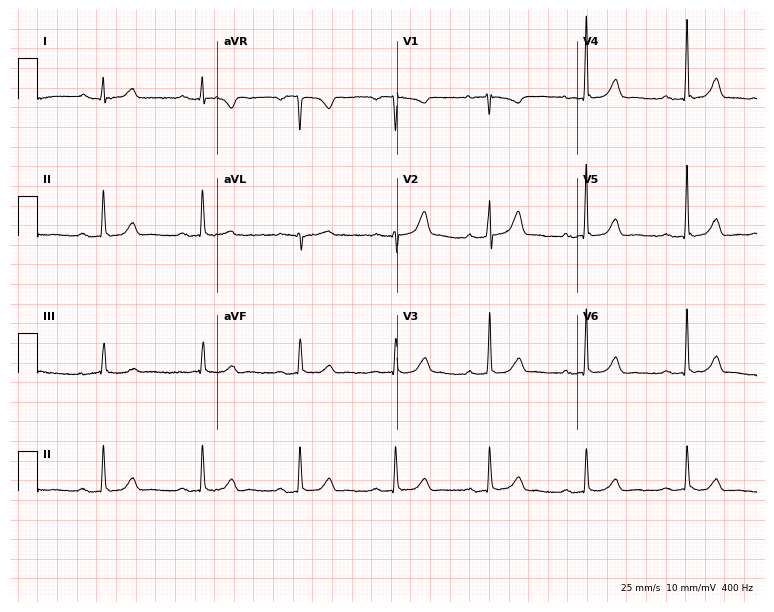
12-lead ECG from a female patient, 36 years old. Labelled as a normal ECG.